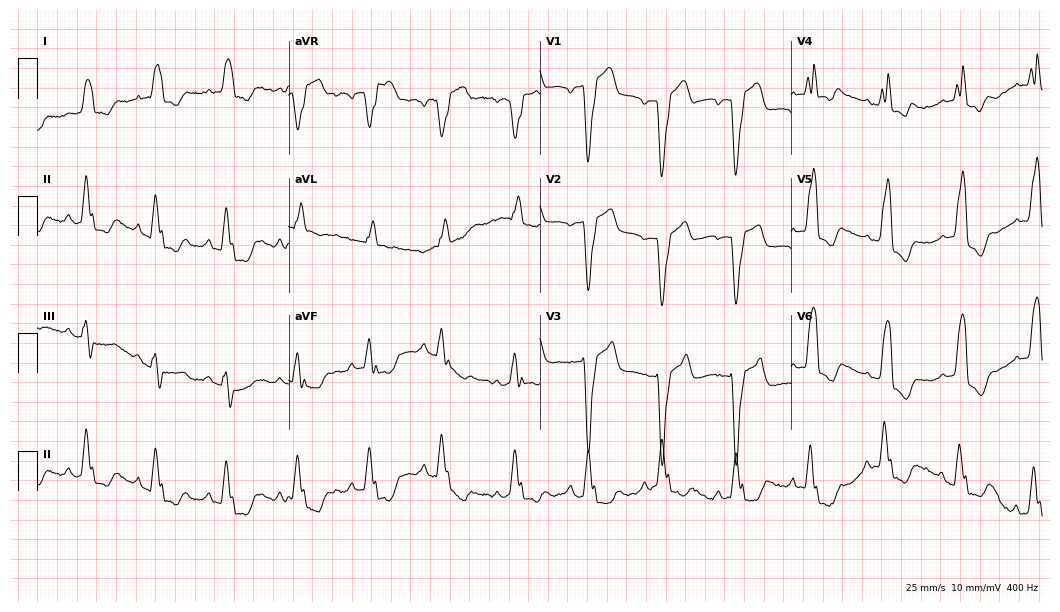
12-lead ECG from a male, 72 years old. Shows left bundle branch block (LBBB).